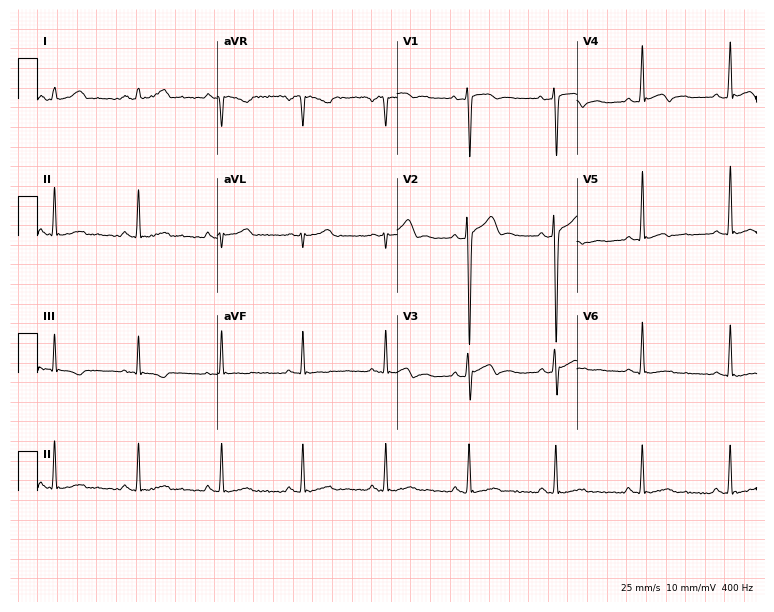
ECG (7.3-second recording at 400 Hz) — a 19-year-old male. Screened for six findings — first-degree AV block, right bundle branch block, left bundle branch block, sinus bradycardia, atrial fibrillation, sinus tachycardia — none is recorded.